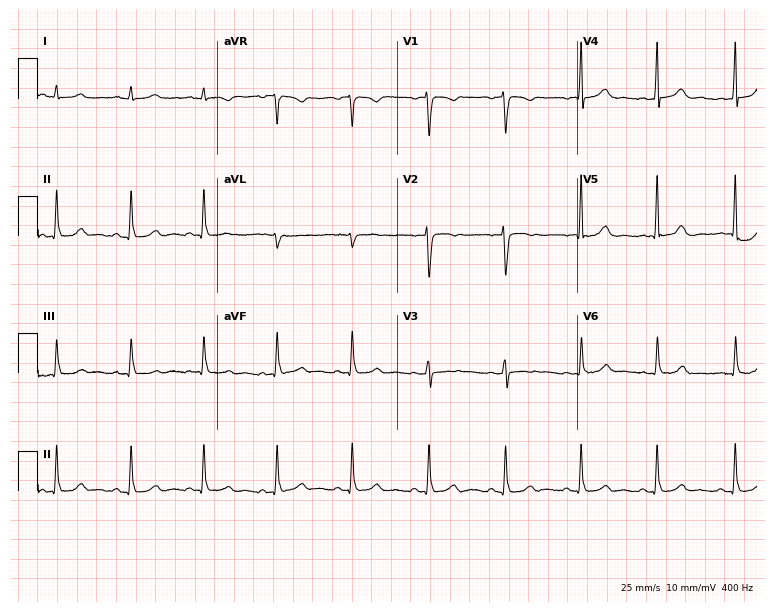
12-lead ECG from a 34-year-old woman (7.3-second recording at 400 Hz). Recorded interpretation: within normal limits.